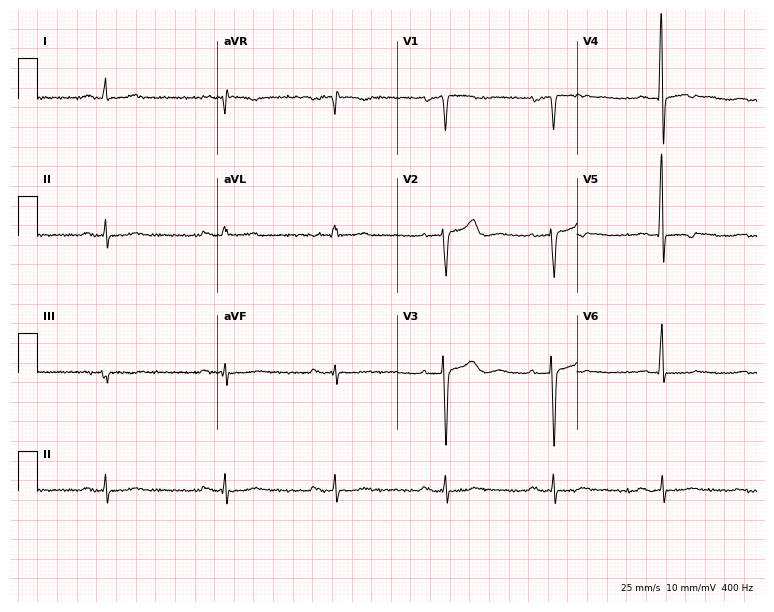
Standard 12-lead ECG recorded from an 84-year-old man. None of these six findings is recorded: first-degree AV block, right bundle branch block (RBBB), left bundle branch block (LBBB), sinus bradycardia, atrial fibrillation (AF), sinus tachycardia.